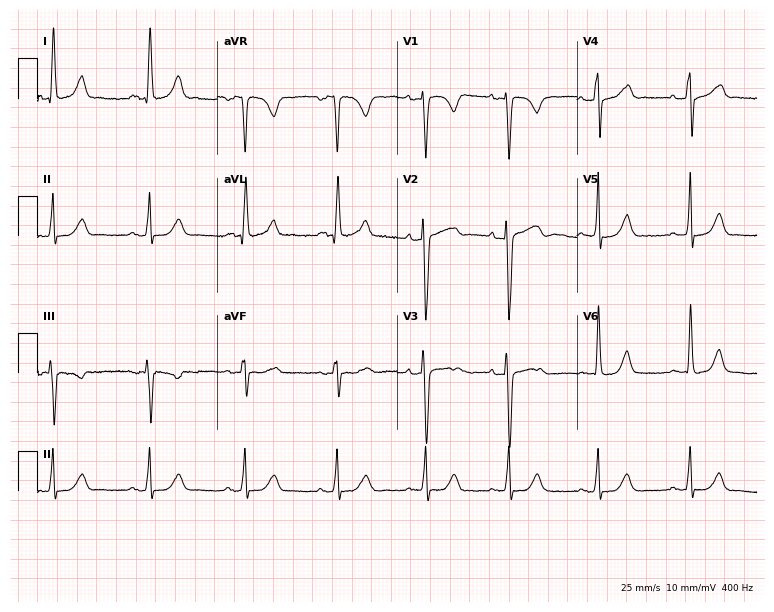
Electrocardiogram (7.3-second recording at 400 Hz), a woman, 17 years old. Of the six screened findings (first-degree AV block, right bundle branch block, left bundle branch block, sinus bradycardia, atrial fibrillation, sinus tachycardia), none is recorded.